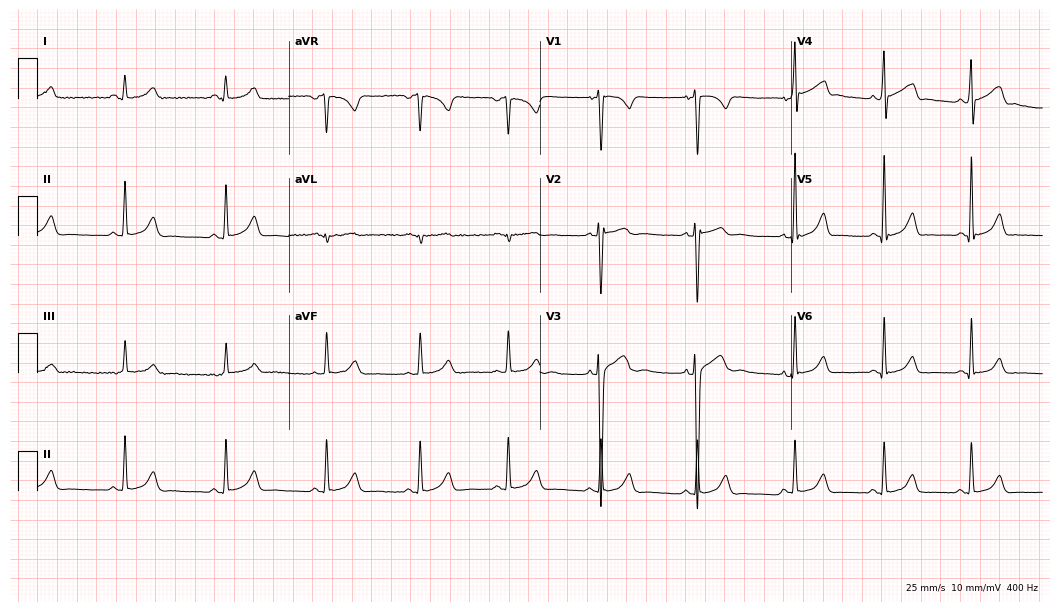
12-lead ECG (10.2-second recording at 400 Hz) from a male patient, 18 years old. Screened for six findings — first-degree AV block, right bundle branch block (RBBB), left bundle branch block (LBBB), sinus bradycardia, atrial fibrillation (AF), sinus tachycardia — none is recorded. Other findings, if any, are not listed.